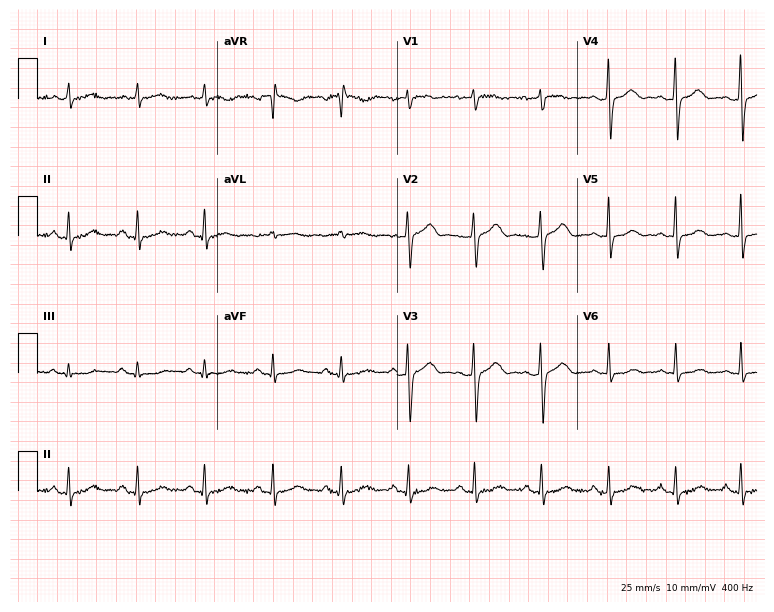
Standard 12-lead ECG recorded from a 57-year-old female (7.3-second recording at 400 Hz). Read as a normal ECG.